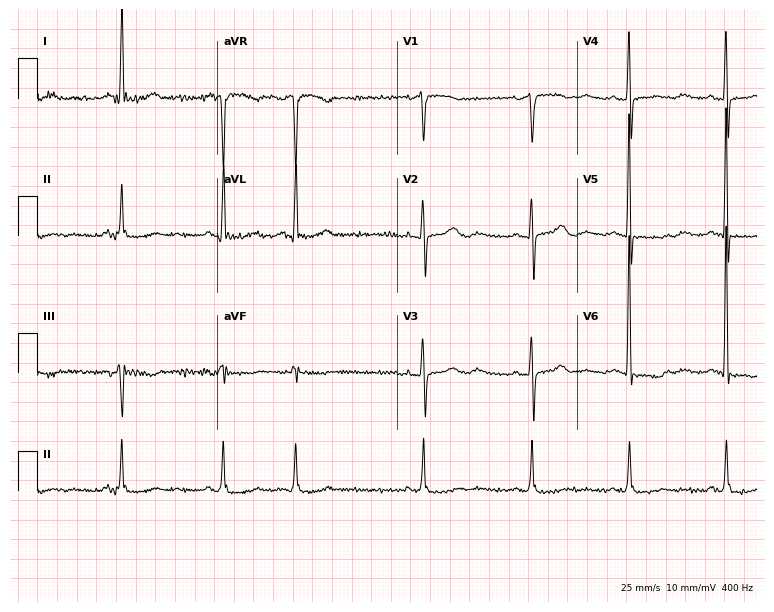
ECG (7.3-second recording at 400 Hz) — a 68-year-old female patient. Screened for six findings — first-degree AV block, right bundle branch block (RBBB), left bundle branch block (LBBB), sinus bradycardia, atrial fibrillation (AF), sinus tachycardia — none is recorded.